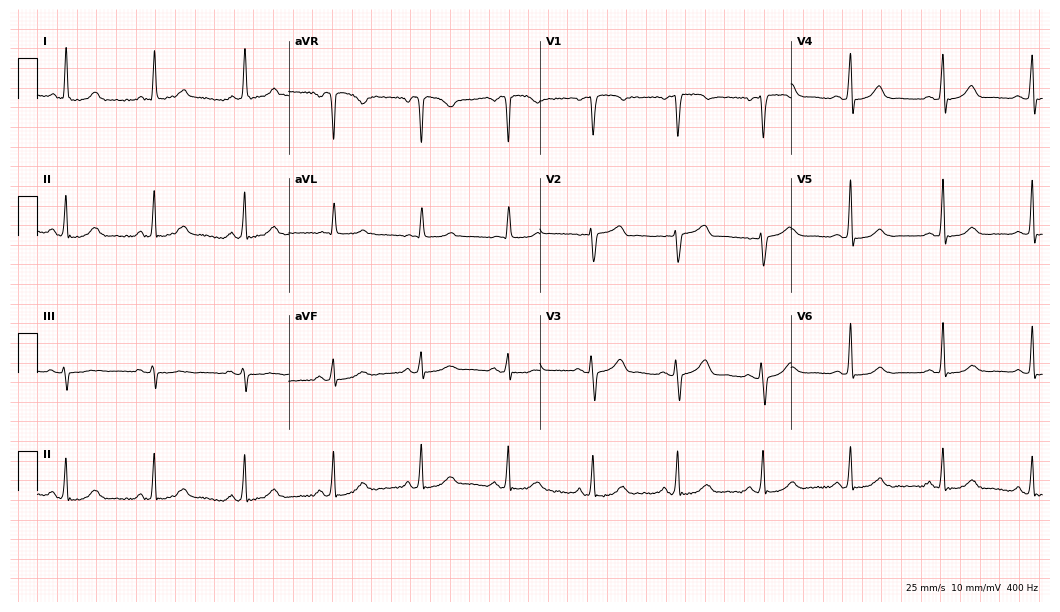
12-lead ECG from a 60-year-old female (10.2-second recording at 400 Hz). Recorded interpretation: within normal limits.